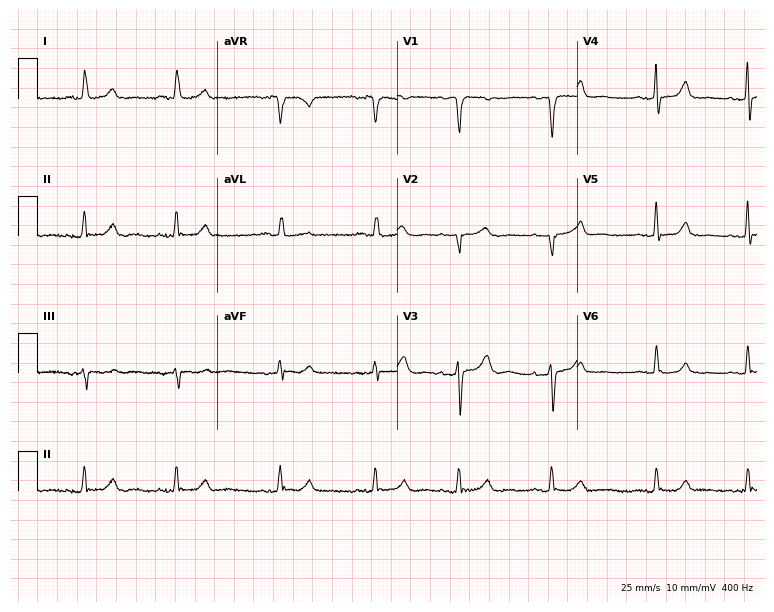
Resting 12-lead electrocardiogram. Patient: a 75-year-old female. Read as a normal ECG.